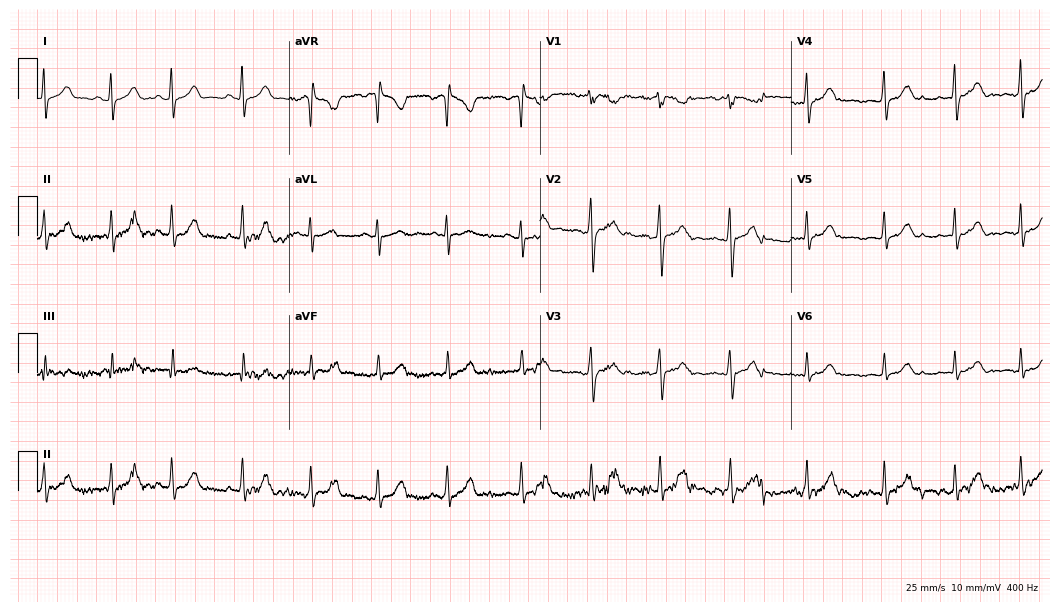
12-lead ECG (10.2-second recording at 400 Hz) from a female patient, 22 years old. Labelled as a normal ECG.